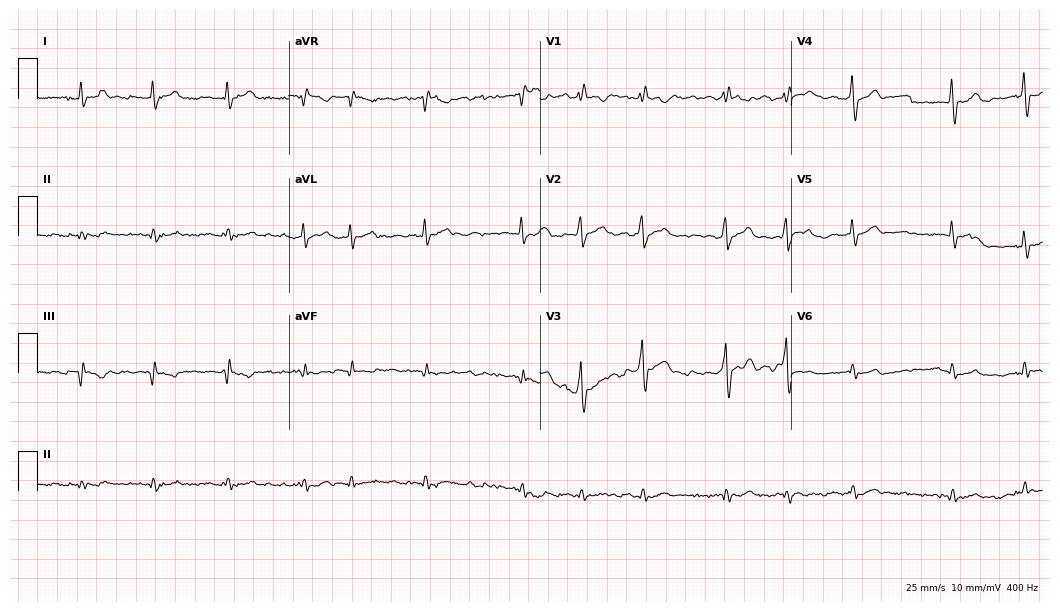
Resting 12-lead electrocardiogram. Patient: a male, 83 years old. The tracing shows atrial fibrillation.